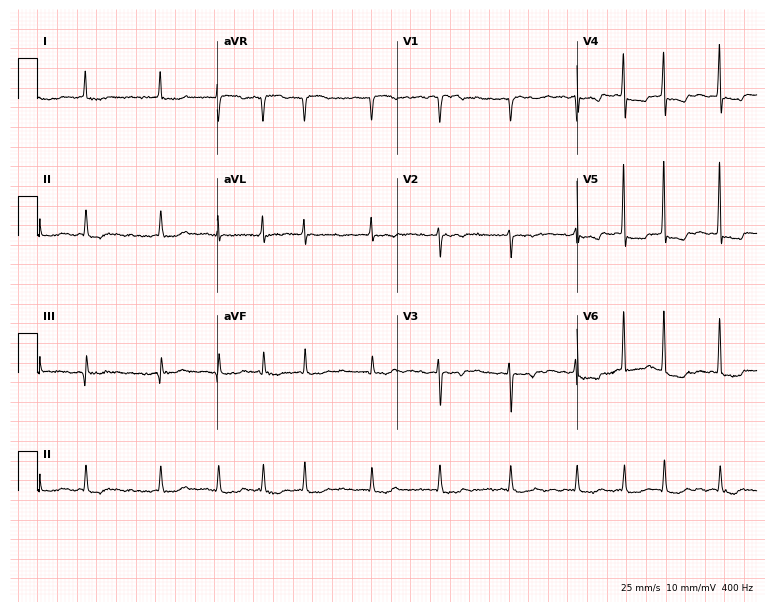
ECG (7.3-second recording at 400 Hz) — a woman, 82 years old. Findings include atrial fibrillation.